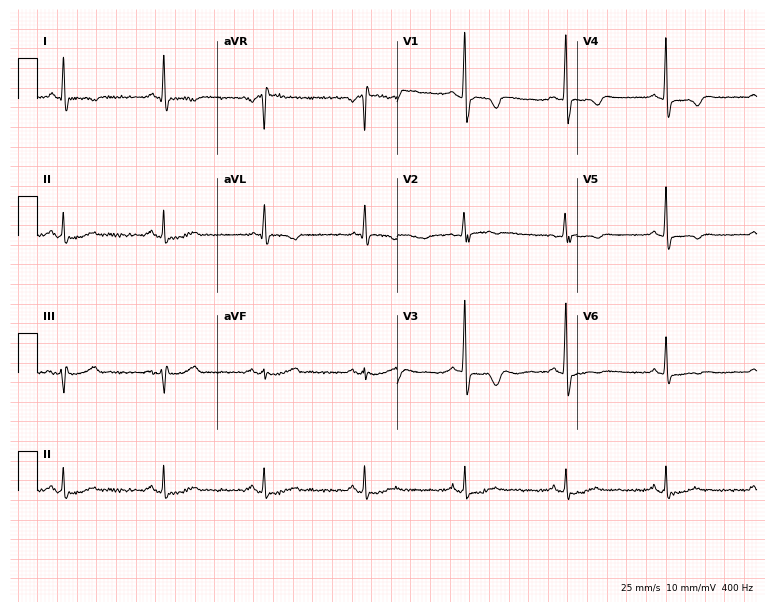
ECG — a 65-year-old male. Screened for six findings — first-degree AV block, right bundle branch block, left bundle branch block, sinus bradycardia, atrial fibrillation, sinus tachycardia — none is recorded.